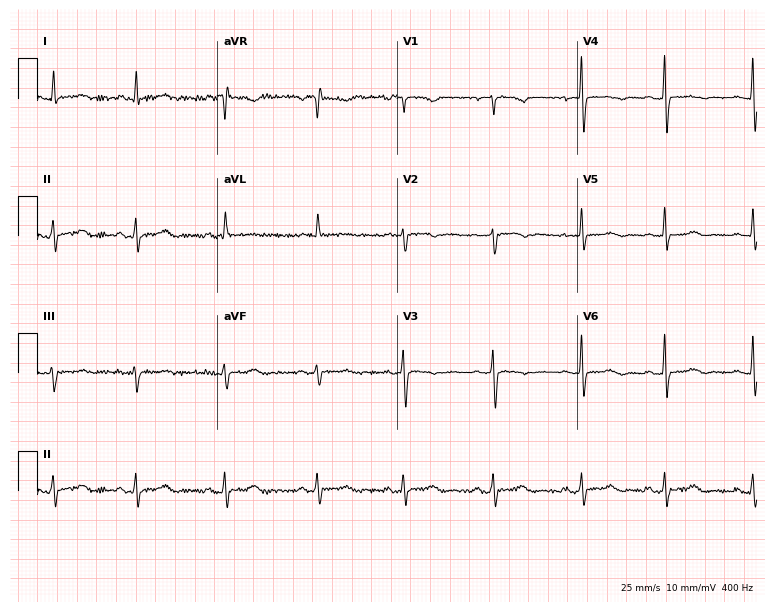
ECG (7.3-second recording at 400 Hz) — a 59-year-old woman. Screened for six findings — first-degree AV block, right bundle branch block, left bundle branch block, sinus bradycardia, atrial fibrillation, sinus tachycardia — none is recorded. Findings outside these six are not listed.